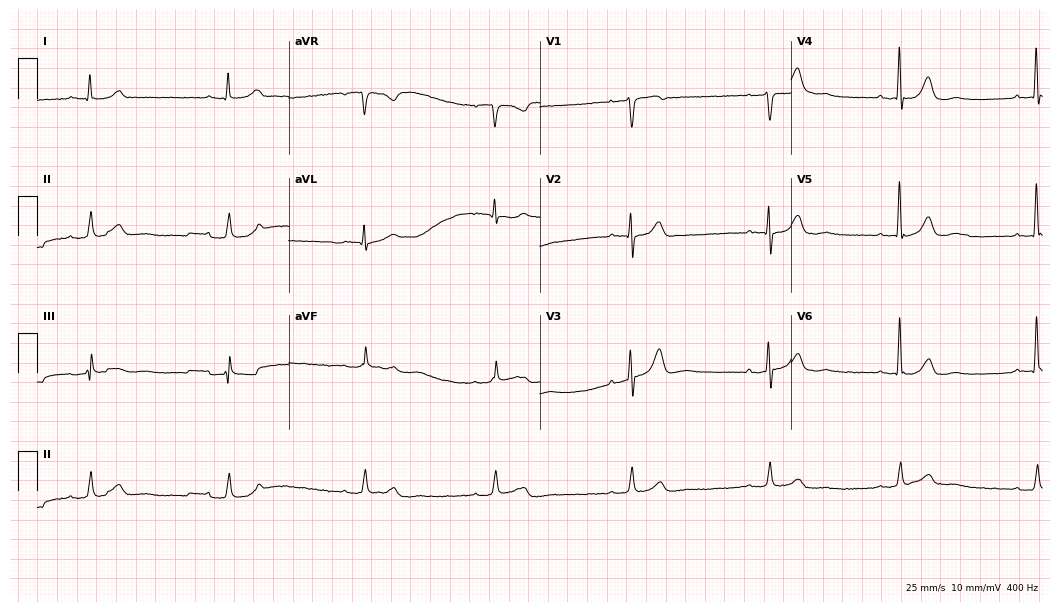
ECG — a man, 65 years old. Findings include sinus bradycardia (a sinus rate of 50 beats per minute or less).